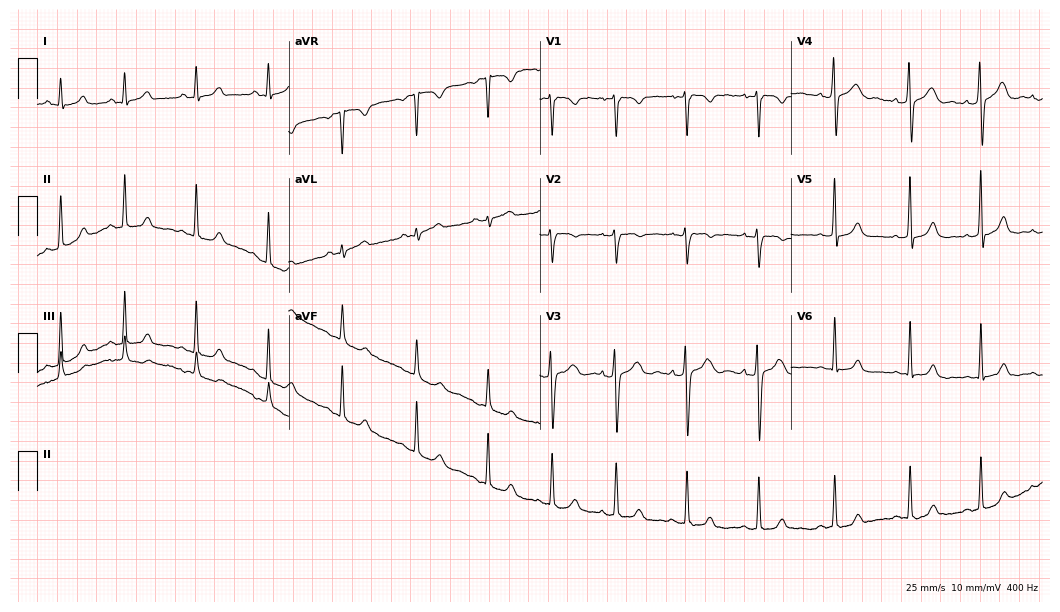
Electrocardiogram, a 22-year-old female patient. Of the six screened findings (first-degree AV block, right bundle branch block, left bundle branch block, sinus bradycardia, atrial fibrillation, sinus tachycardia), none is recorded.